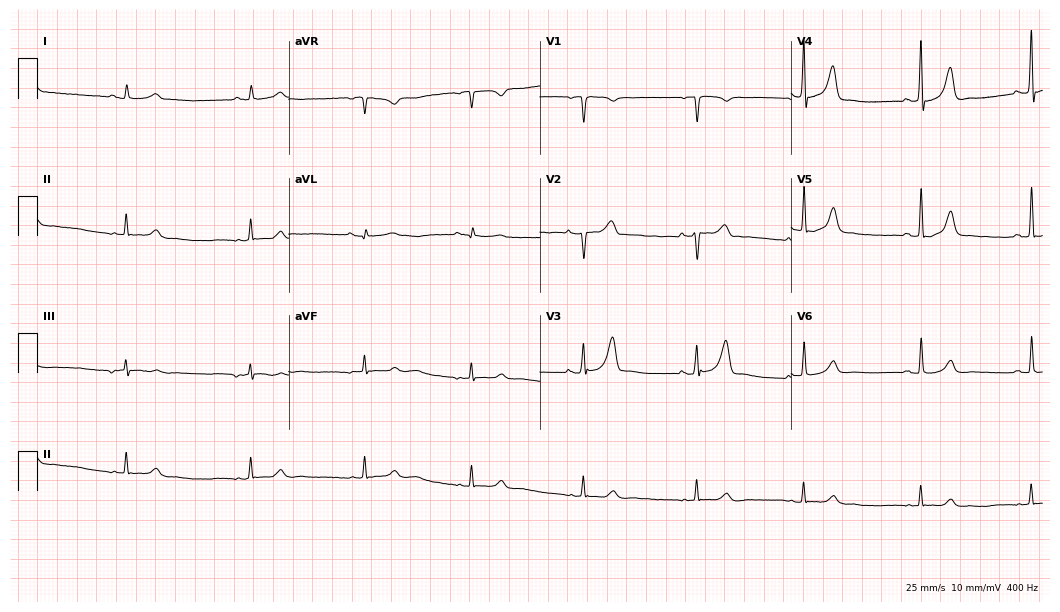
12-lead ECG from a male, 68 years old (10.2-second recording at 400 Hz). No first-degree AV block, right bundle branch block, left bundle branch block, sinus bradycardia, atrial fibrillation or sinus tachycardia recorded for this tracing. Only these six findings were labelled.